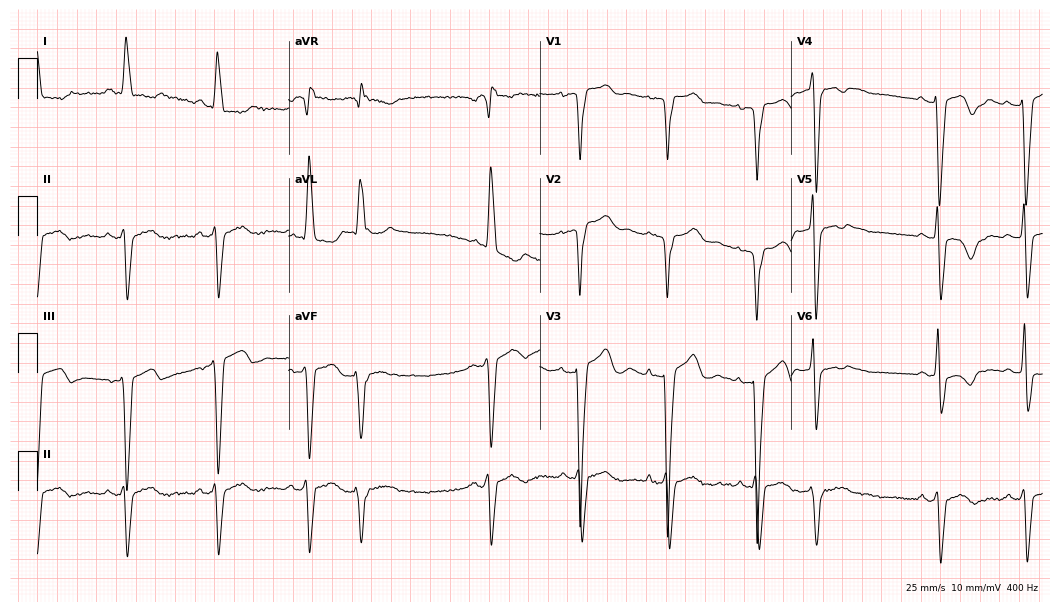
Resting 12-lead electrocardiogram (10.2-second recording at 400 Hz). Patient: a 70-year-old woman. The tracing shows left bundle branch block (LBBB).